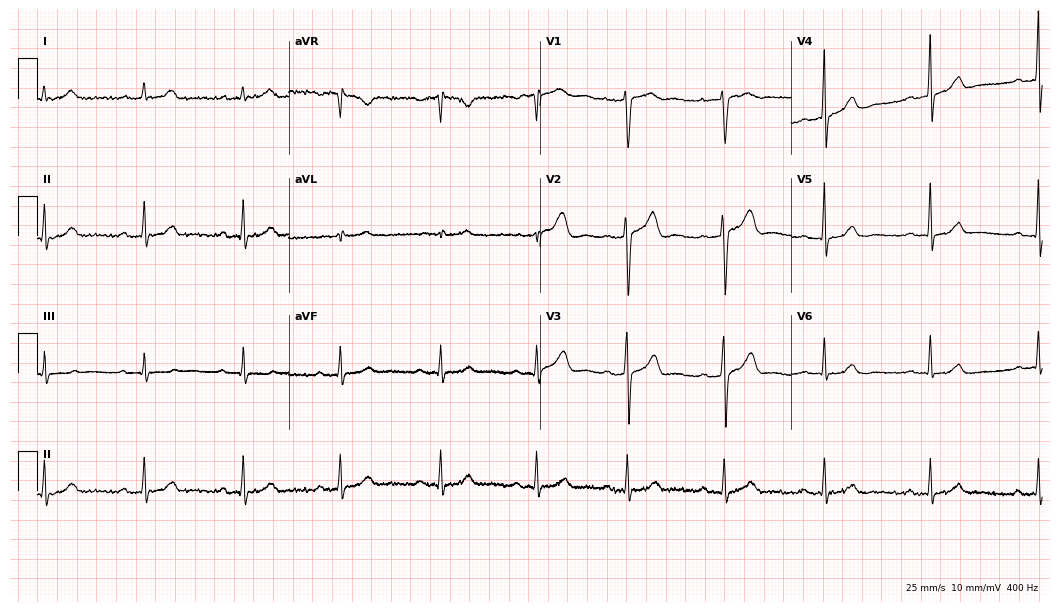
12-lead ECG (10.2-second recording at 400 Hz) from a 26-year-old man. Findings include first-degree AV block.